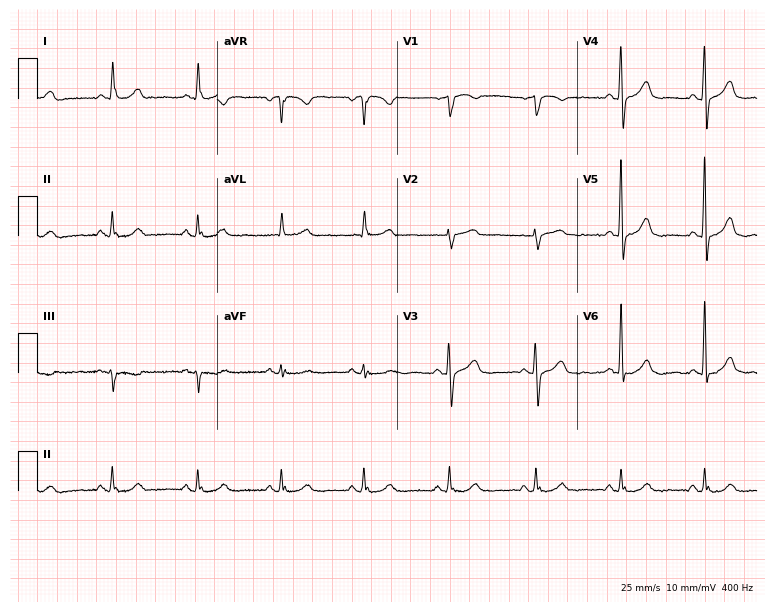
ECG — a 77-year-old woman. Labelled as a normal ECG.